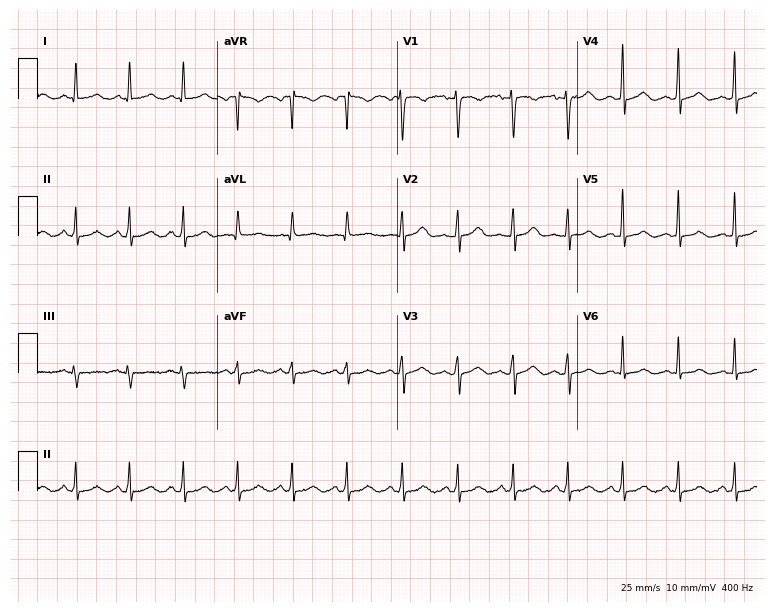
Standard 12-lead ECG recorded from a 43-year-old female. The tracing shows sinus tachycardia (a sinus rate of 100 beats per minute or more).